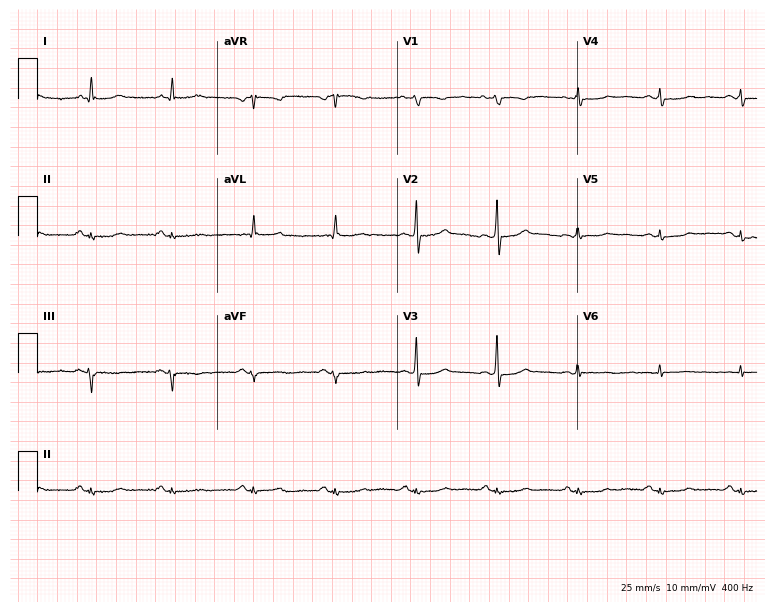
12-lead ECG (7.3-second recording at 400 Hz) from a 55-year-old woman. Screened for six findings — first-degree AV block, right bundle branch block (RBBB), left bundle branch block (LBBB), sinus bradycardia, atrial fibrillation (AF), sinus tachycardia — none is recorded.